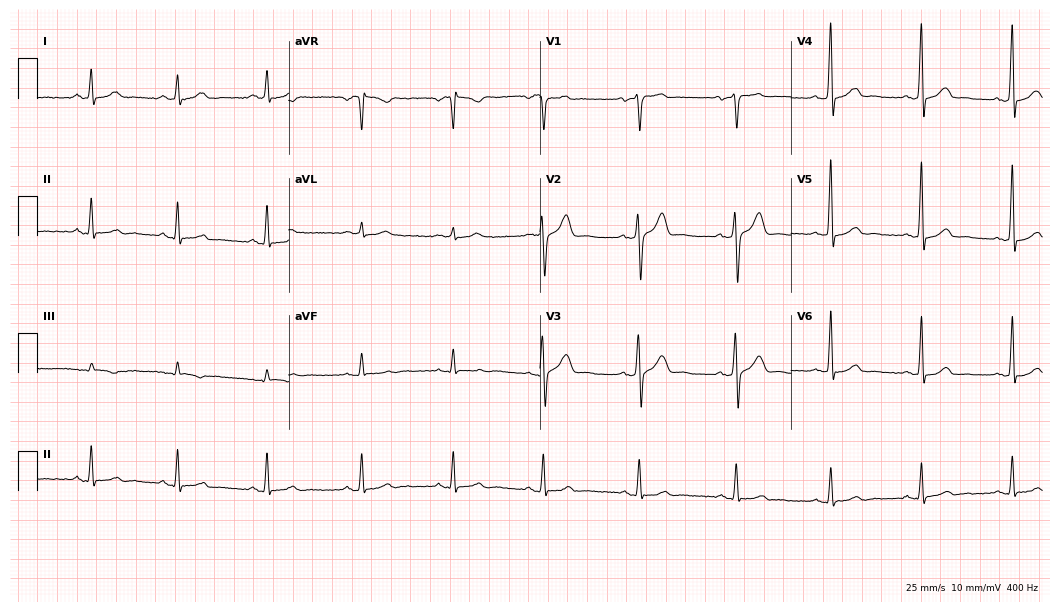
ECG (10.2-second recording at 400 Hz) — a 37-year-old female patient. Labelled as a normal ECG.